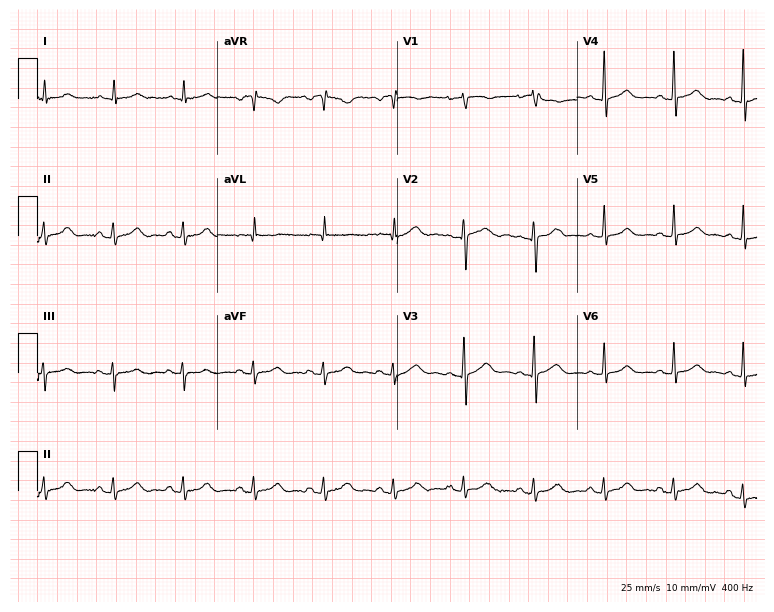
ECG (7.3-second recording at 400 Hz) — a 77-year-old female patient. Screened for six findings — first-degree AV block, right bundle branch block, left bundle branch block, sinus bradycardia, atrial fibrillation, sinus tachycardia — none is recorded. Findings outside these six are not listed.